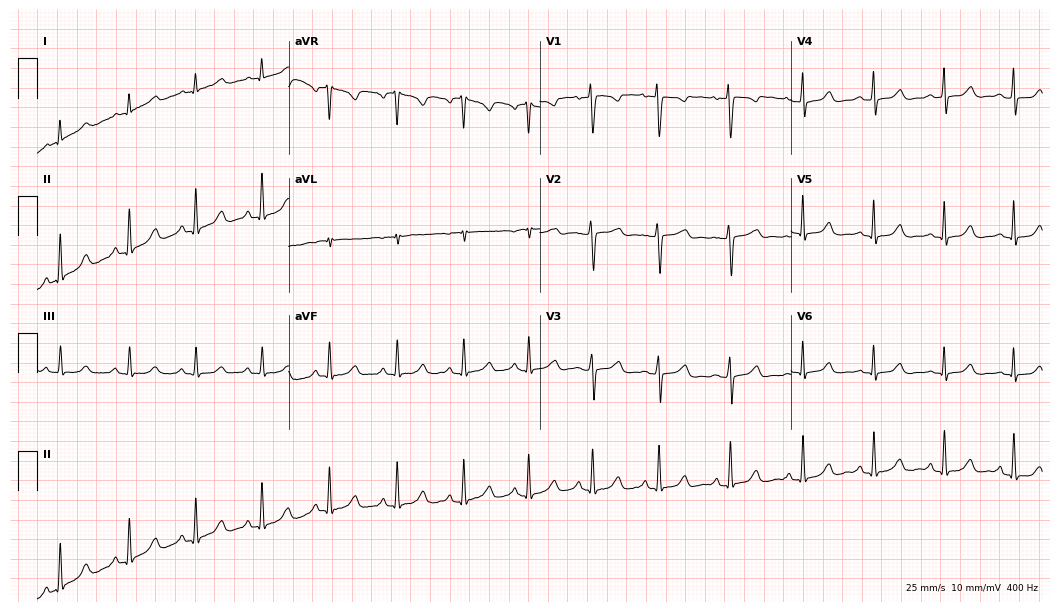
ECG — a female, 32 years old. Labelled as a normal ECG.